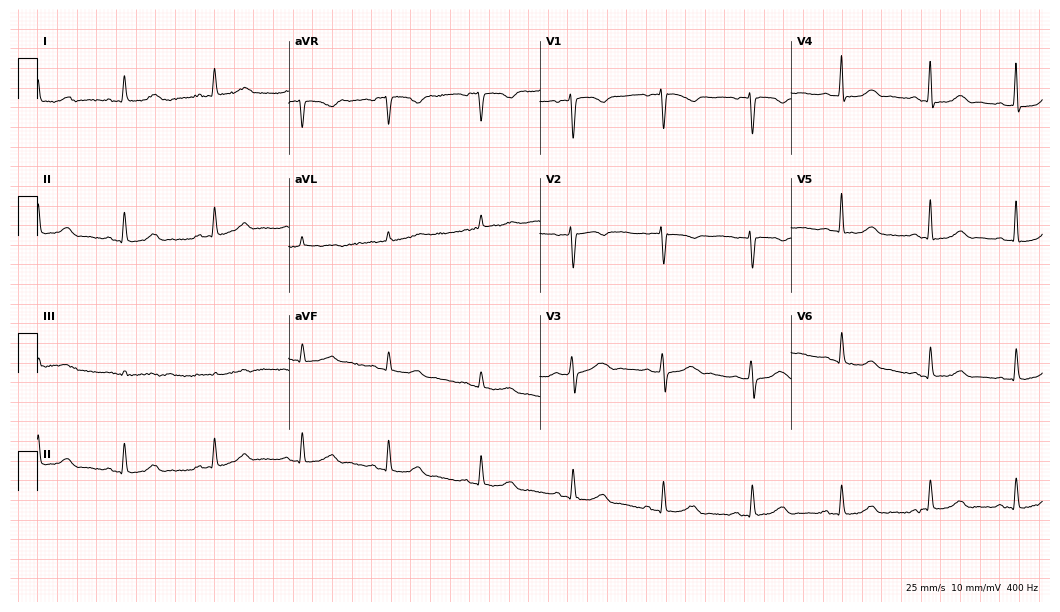
12-lead ECG from a woman, 48 years old (10.2-second recording at 400 Hz). Recorded interpretation: within normal limits.